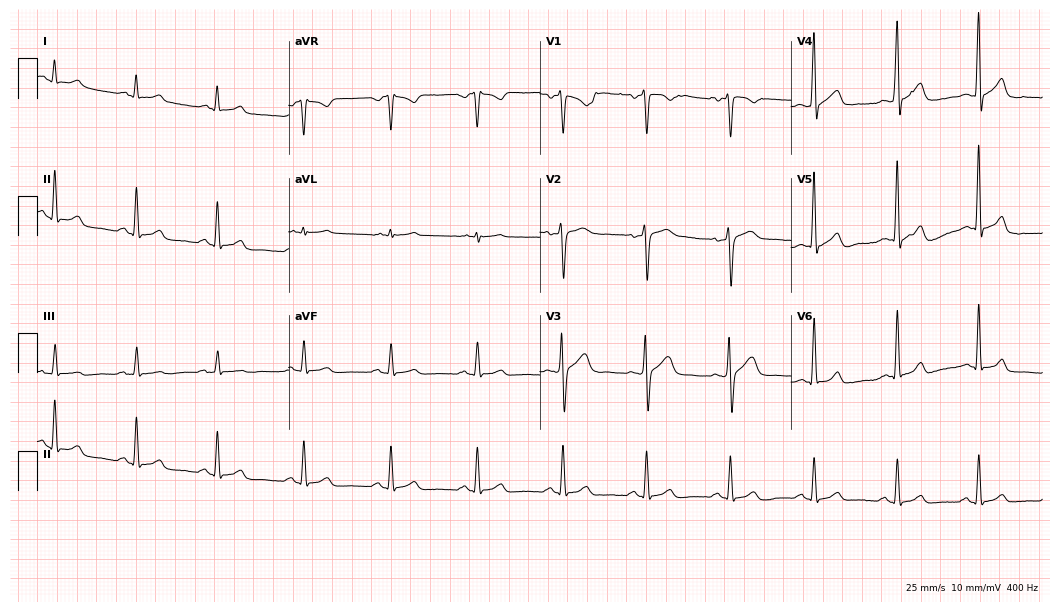
ECG — a male patient, 61 years old. Labelled as a normal ECG.